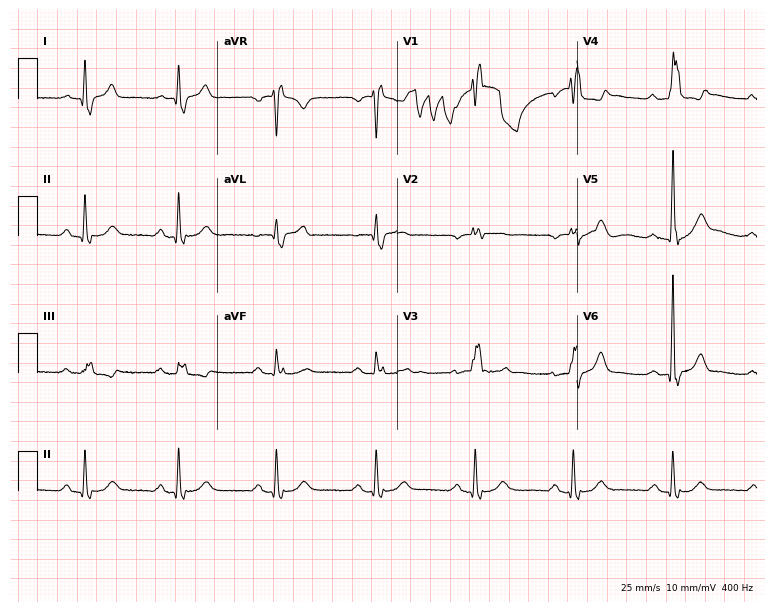
Electrocardiogram (7.3-second recording at 400 Hz), a male patient, 66 years old. Interpretation includes right bundle branch block (RBBB).